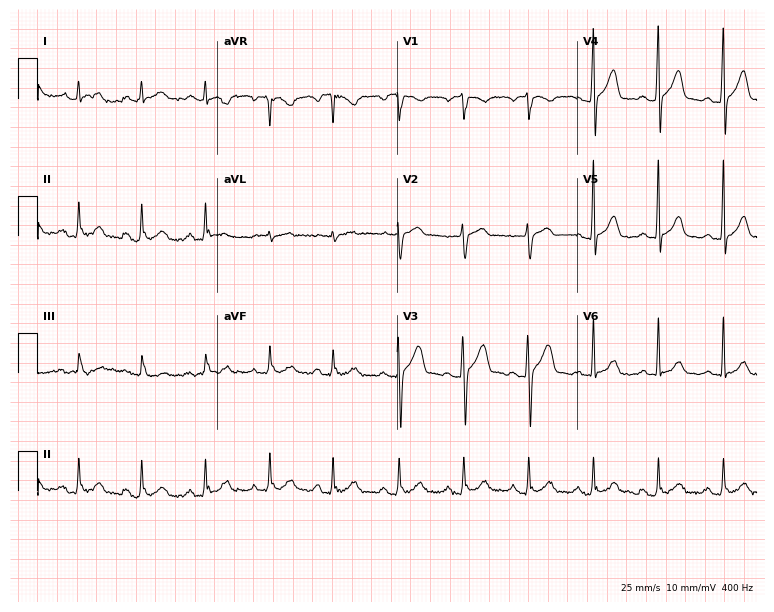
12-lead ECG from a male patient, 60 years old. No first-degree AV block, right bundle branch block (RBBB), left bundle branch block (LBBB), sinus bradycardia, atrial fibrillation (AF) or sinus tachycardia recorded for this tracing. Only these six findings were labelled.